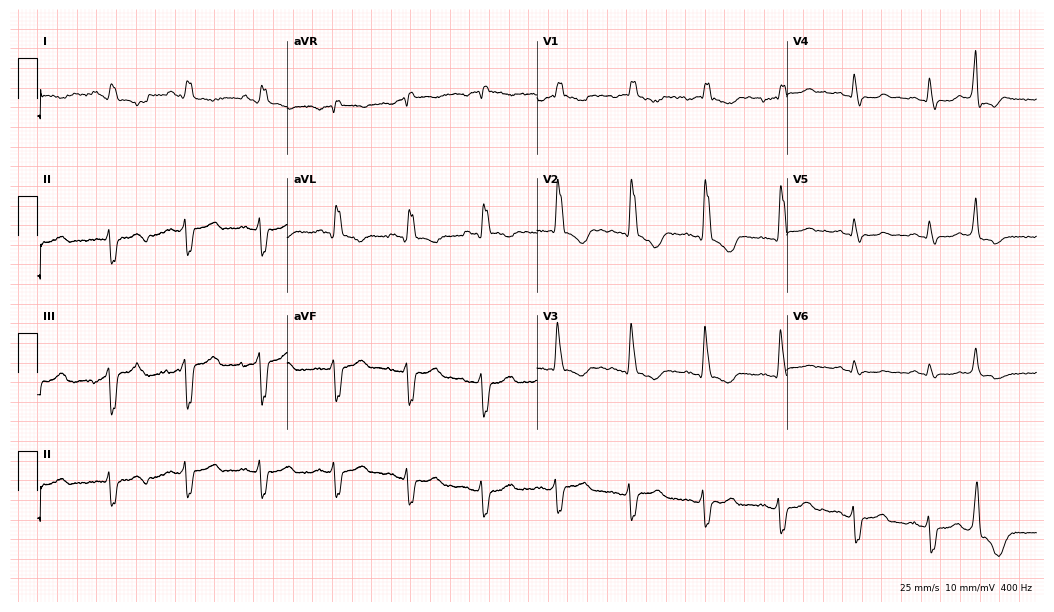
ECG — a male, 64 years old. Findings include right bundle branch block.